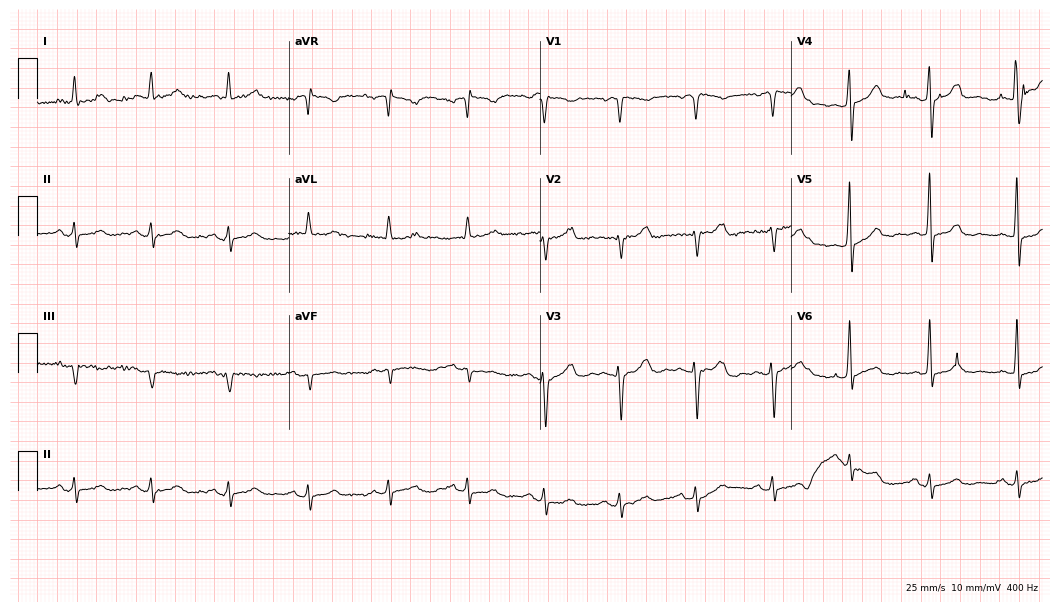
ECG (10.2-second recording at 400 Hz) — a female, 74 years old. Screened for six findings — first-degree AV block, right bundle branch block (RBBB), left bundle branch block (LBBB), sinus bradycardia, atrial fibrillation (AF), sinus tachycardia — none is recorded.